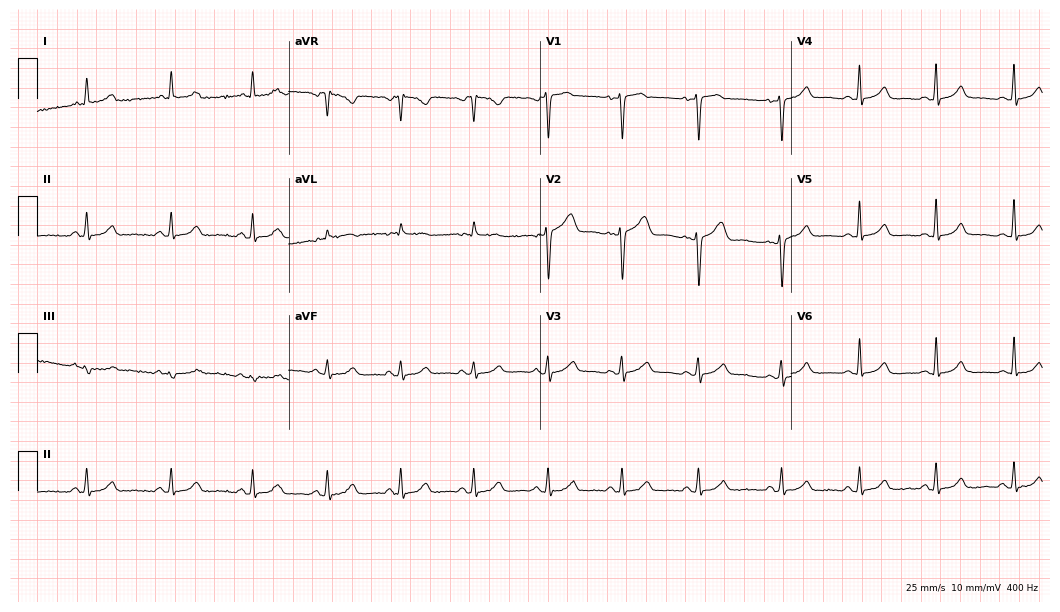
Electrocardiogram (10.2-second recording at 400 Hz), a 40-year-old female patient. Overall reading on record: normal ECG.